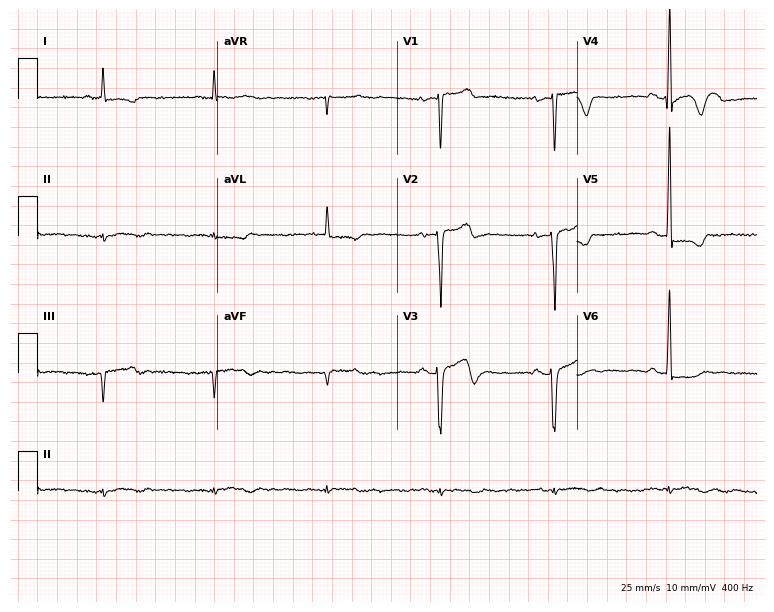
12-lead ECG from an 83-year-old male. No first-degree AV block, right bundle branch block, left bundle branch block, sinus bradycardia, atrial fibrillation or sinus tachycardia recorded for this tracing.